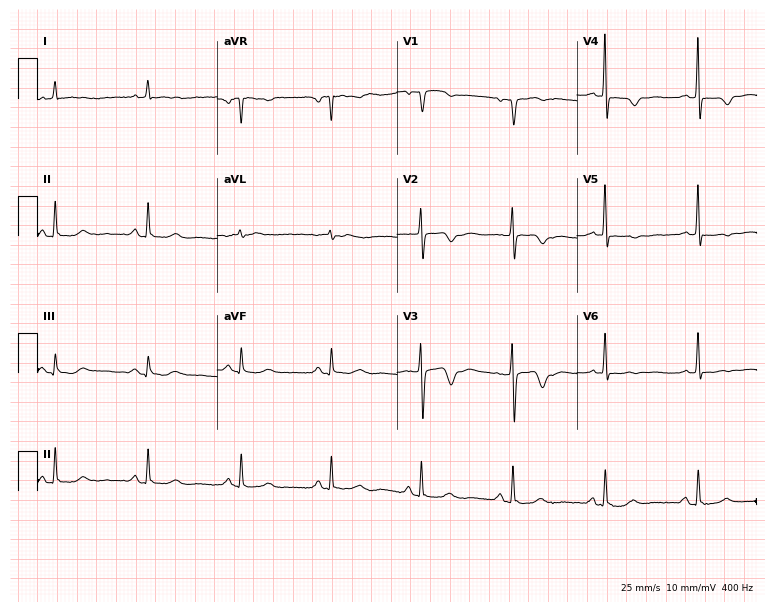
12-lead ECG from an 83-year-old female patient. No first-degree AV block, right bundle branch block, left bundle branch block, sinus bradycardia, atrial fibrillation or sinus tachycardia recorded for this tracing. Other findings, if any, are not listed.